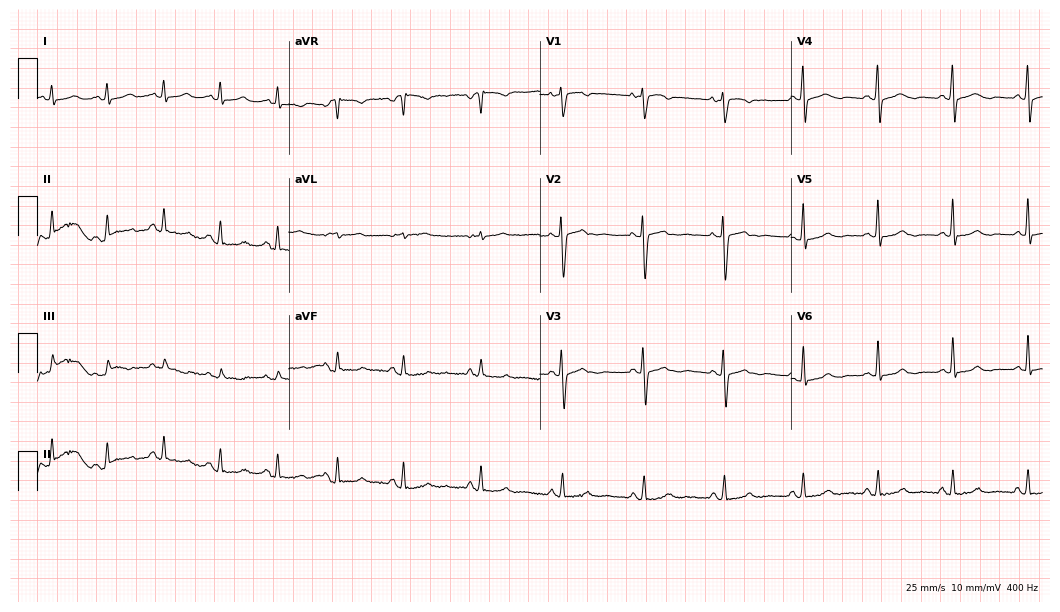
Resting 12-lead electrocardiogram (10.2-second recording at 400 Hz). Patient: a man, 45 years old. None of these six findings is recorded: first-degree AV block, right bundle branch block, left bundle branch block, sinus bradycardia, atrial fibrillation, sinus tachycardia. Findings outside these six are not listed.